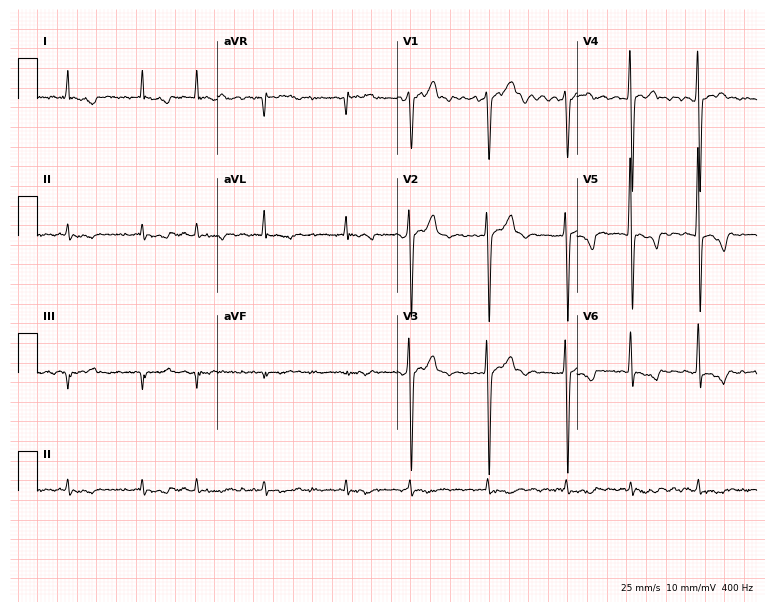
12-lead ECG from a male, 61 years old. Findings include atrial fibrillation.